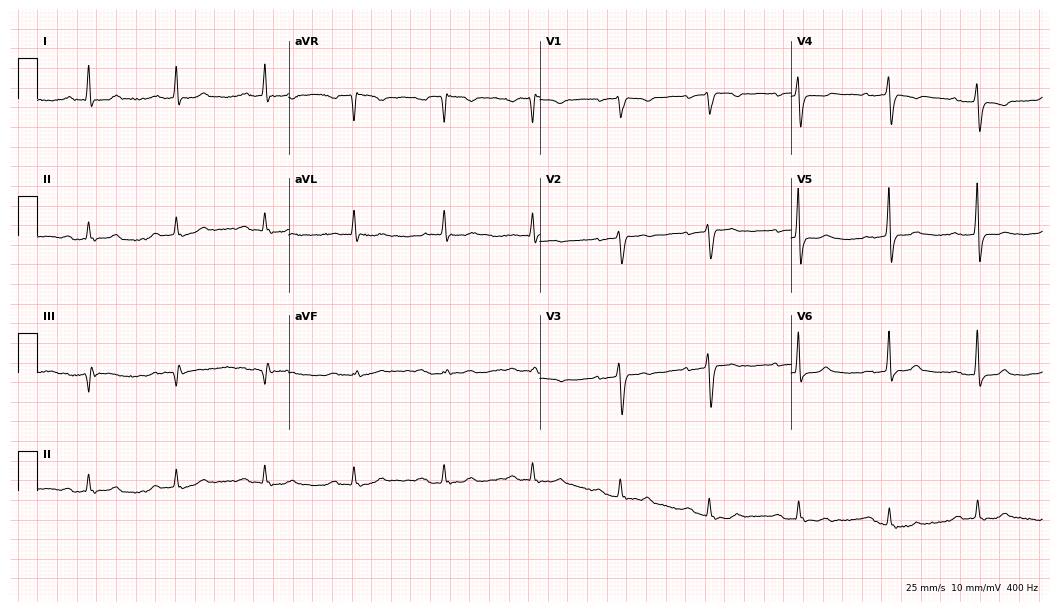
12-lead ECG from a woman, 77 years old (10.2-second recording at 400 Hz). Shows first-degree AV block.